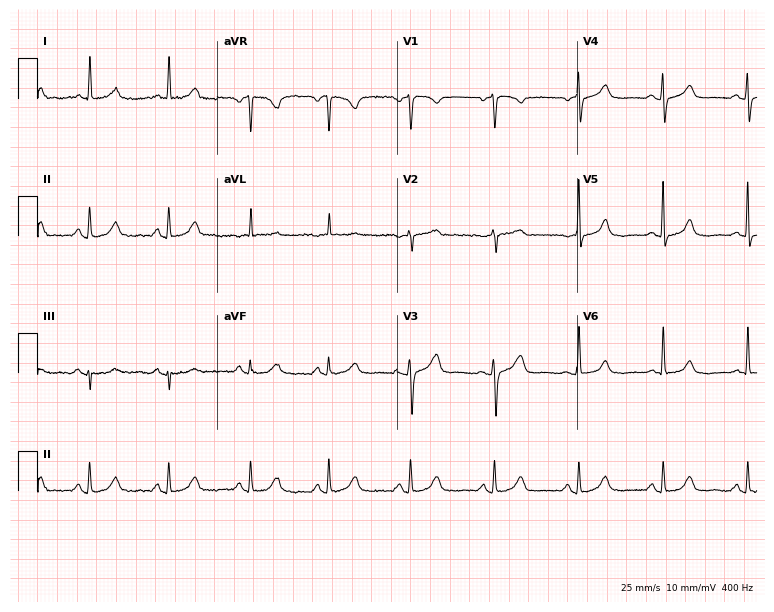
12-lead ECG from a 72-year-old female (7.3-second recording at 400 Hz). No first-degree AV block, right bundle branch block, left bundle branch block, sinus bradycardia, atrial fibrillation or sinus tachycardia recorded for this tracing. Findings outside these six are not listed.